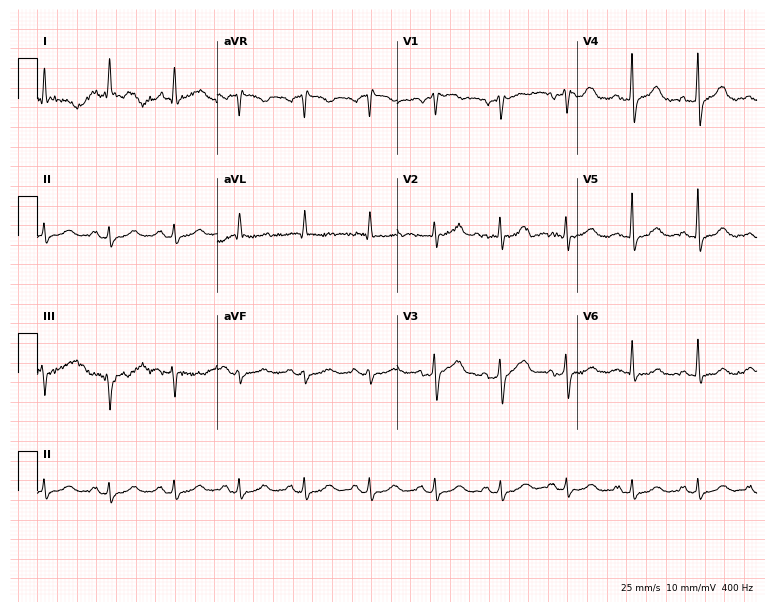
Standard 12-lead ECG recorded from a female, 52 years old. None of these six findings is recorded: first-degree AV block, right bundle branch block, left bundle branch block, sinus bradycardia, atrial fibrillation, sinus tachycardia.